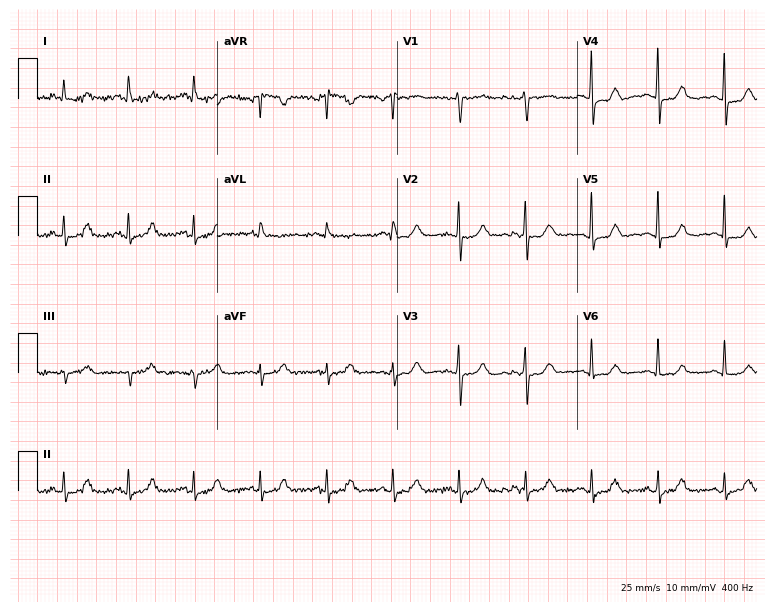
Standard 12-lead ECG recorded from a woman, 76 years old. None of these six findings is recorded: first-degree AV block, right bundle branch block, left bundle branch block, sinus bradycardia, atrial fibrillation, sinus tachycardia.